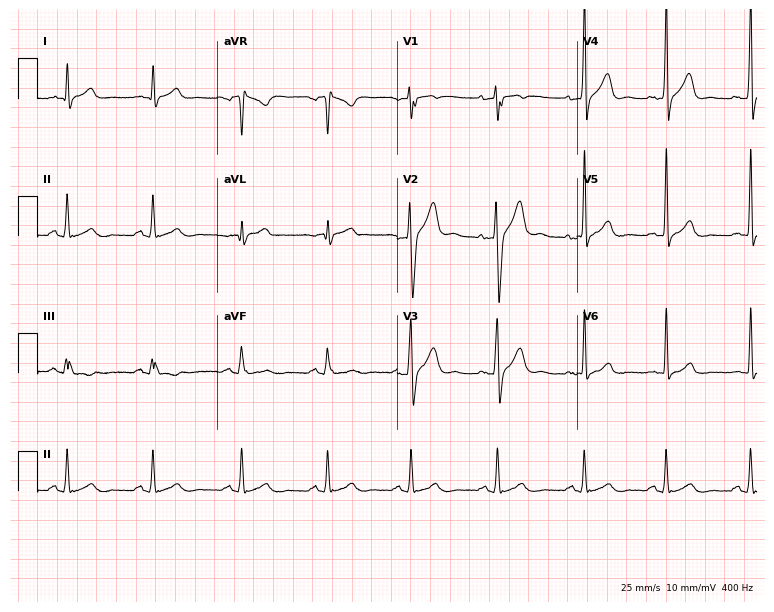
ECG (7.3-second recording at 400 Hz) — a 42-year-old male patient. Screened for six findings — first-degree AV block, right bundle branch block (RBBB), left bundle branch block (LBBB), sinus bradycardia, atrial fibrillation (AF), sinus tachycardia — none is recorded. Findings outside these six are not listed.